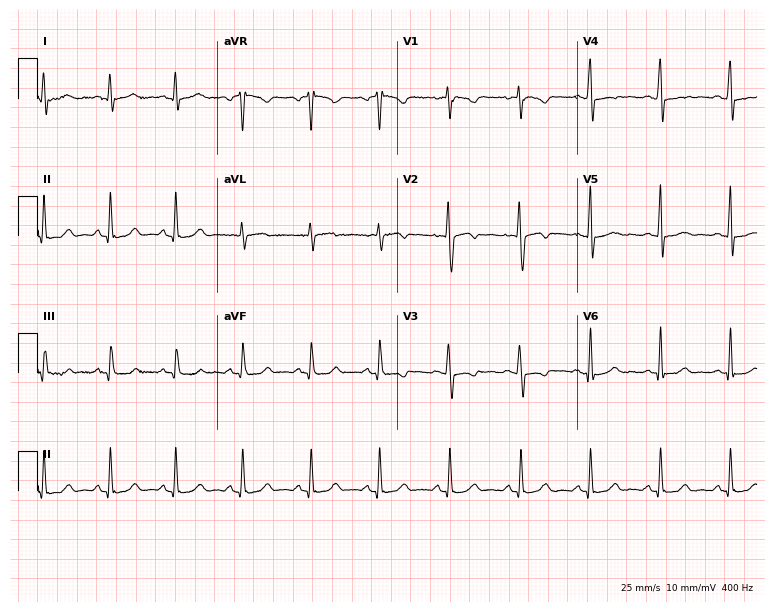
12-lead ECG from a female, 30 years old. No first-degree AV block, right bundle branch block (RBBB), left bundle branch block (LBBB), sinus bradycardia, atrial fibrillation (AF) or sinus tachycardia recorded for this tracing.